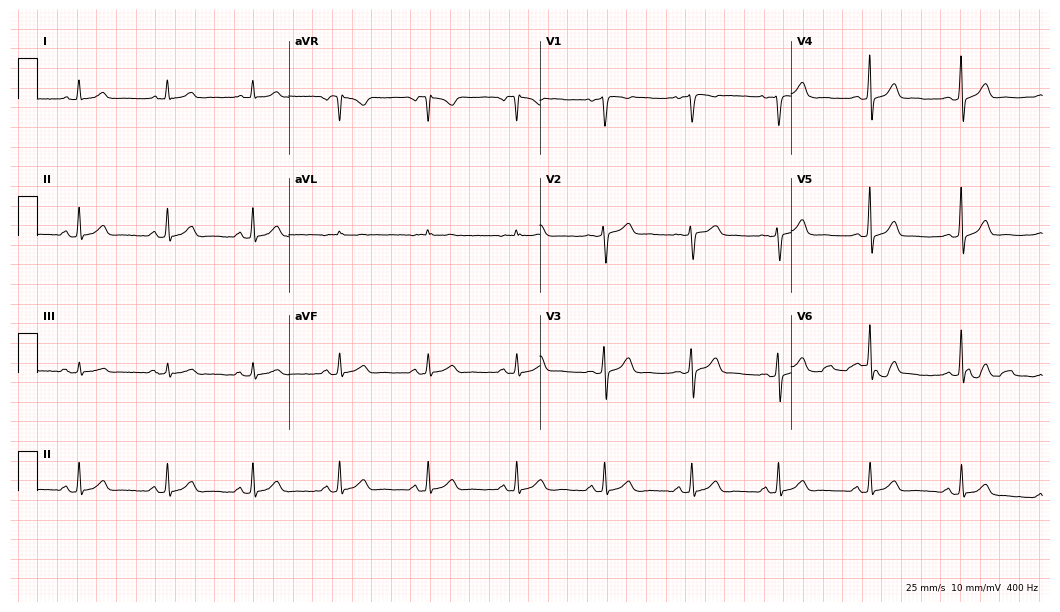
12-lead ECG (10.2-second recording at 400 Hz) from a 43-year-old female patient. Labelled as a normal ECG.